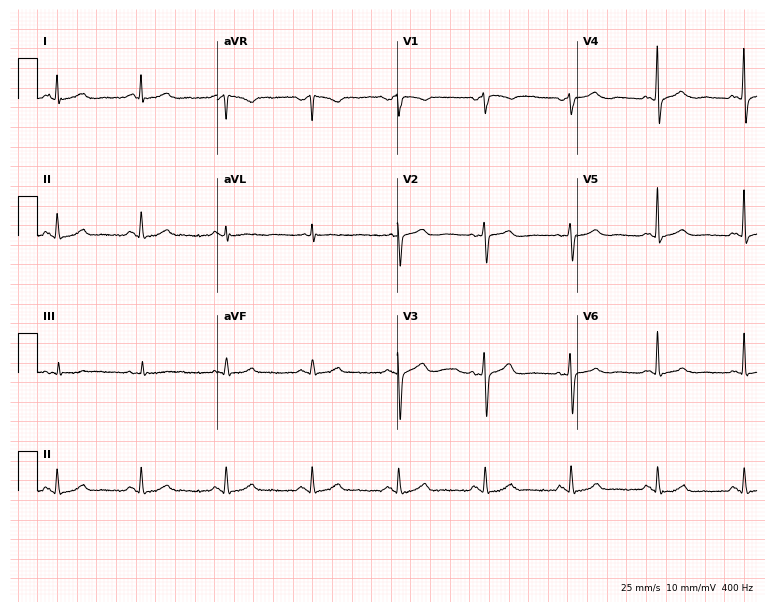
Standard 12-lead ECG recorded from a female, 49 years old (7.3-second recording at 400 Hz). Read as a normal ECG.